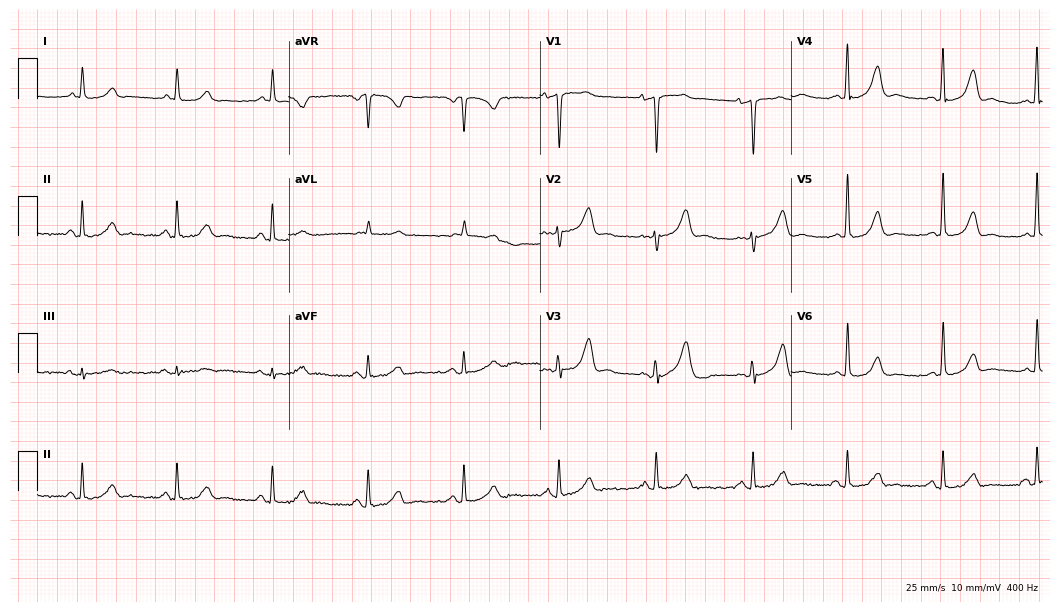
12-lead ECG (10.2-second recording at 400 Hz) from a man, 69 years old. Labelled as a normal ECG.